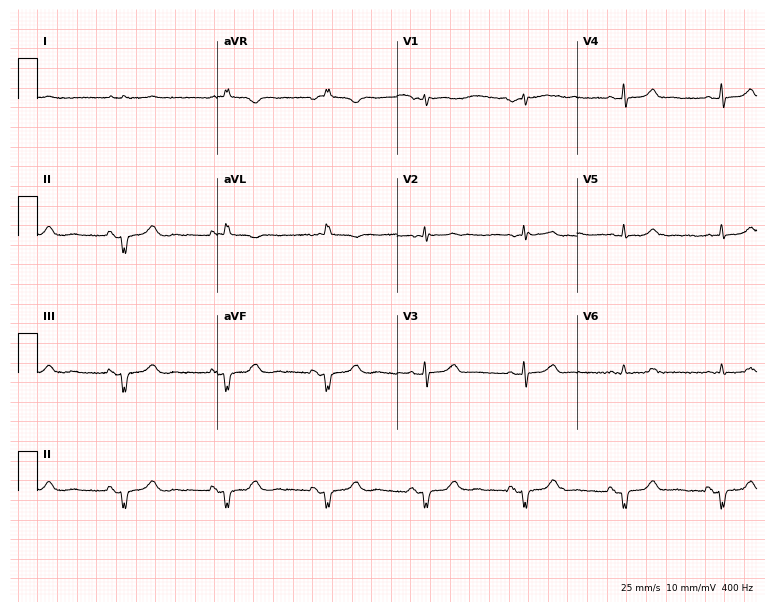
12-lead ECG from a man, 74 years old (7.3-second recording at 400 Hz). No first-degree AV block, right bundle branch block (RBBB), left bundle branch block (LBBB), sinus bradycardia, atrial fibrillation (AF) or sinus tachycardia recorded for this tracing. Other findings, if any, are not listed.